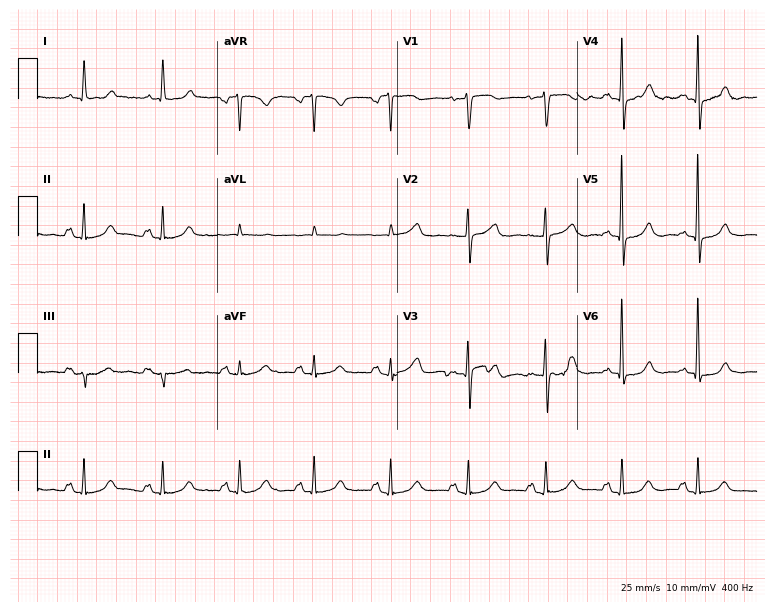
Electrocardiogram, a female patient, 73 years old. Of the six screened findings (first-degree AV block, right bundle branch block, left bundle branch block, sinus bradycardia, atrial fibrillation, sinus tachycardia), none is recorded. Other findings, if any, are not listed.